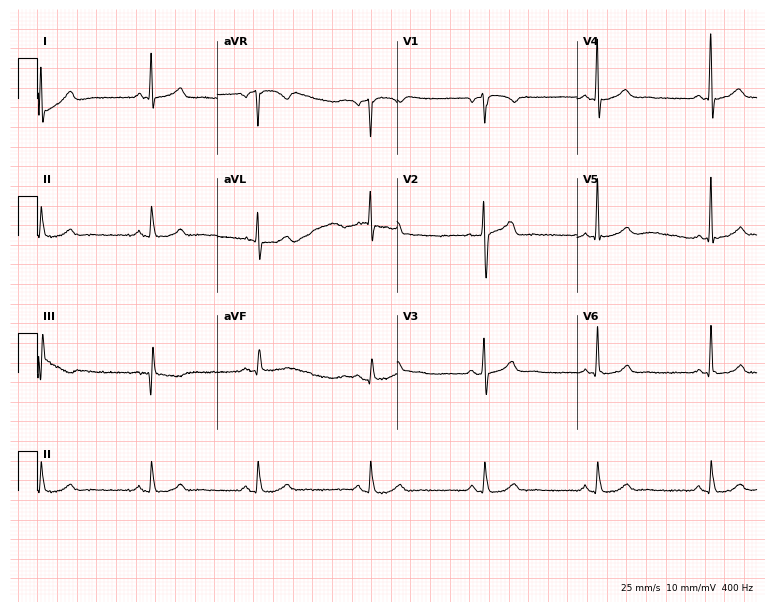
12-lead ECG (7.3-second recording at 400 Hz) from a man, 55 years old. Screened for six findings — first-degree AV block, right bundle branch block (RBBB), left bundle branch block (LBBB), sinus bradycardia, atrial fibrillation (AF), sinus tachycardia — none is recorded.